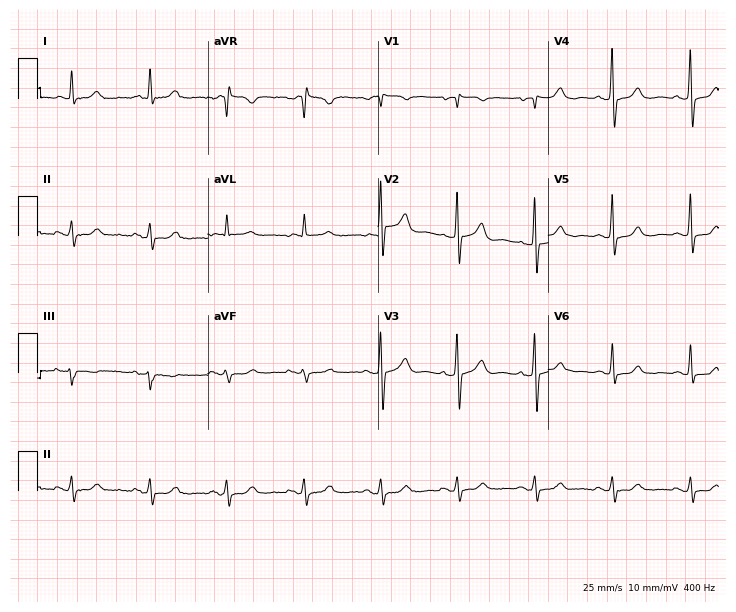
Electrocardiogram (6.9-second recording at 400 Hz), a female patient, 73 years old. Of the six screened findings (first-degree AV block, right bundle branch block, left bundle branch block, sinus bradycardia, atrial fibrillation, sinus tachycardia), none is recorded. Other findings, if any, are not listed.